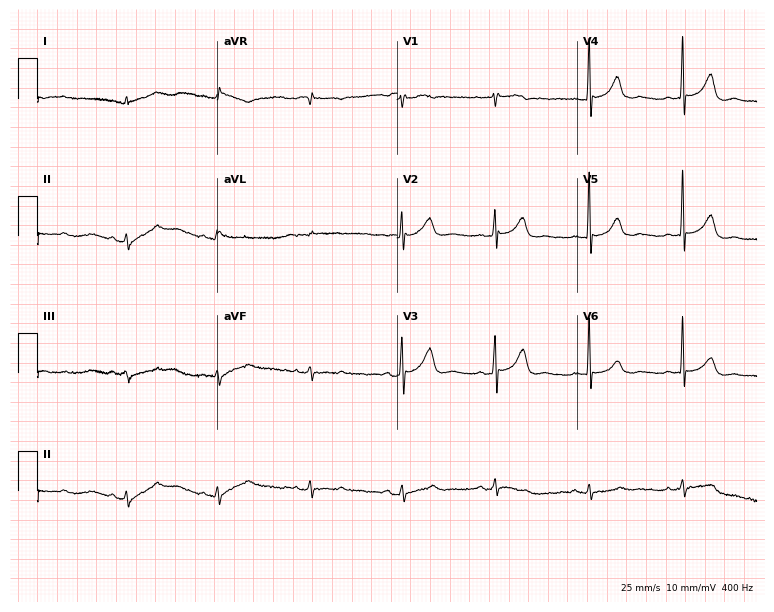
Standard 12-lead ECG recorded from an 83-year-old female patient (7.3-second recording at 400 Hz). None of these six findings is recorded: first-degree AV block, right bundle branch block (RBBB), left bundle branch block (LBBB), sinus bradycardia, atrial fibrillation (AF), sinus tachycardia.